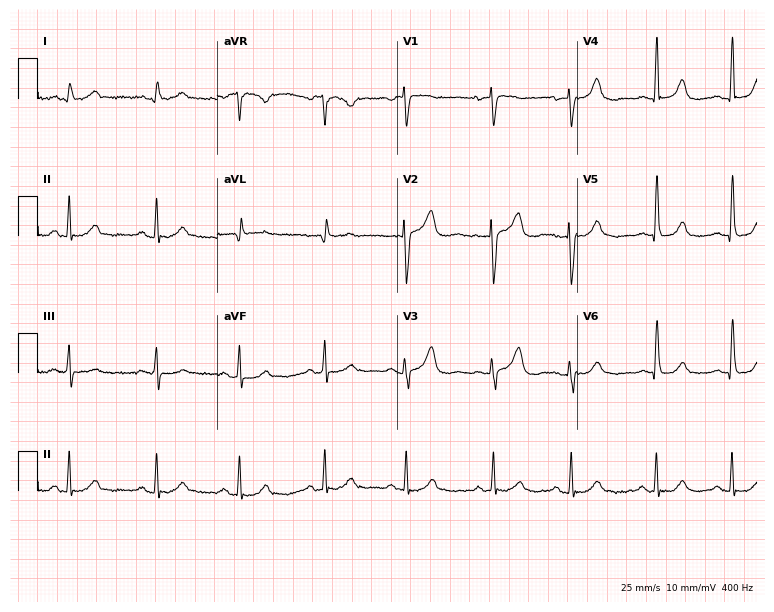
Resting 12-lead electrocardiogram. Patient: a 67-year-old female. Read as a normal ECG.